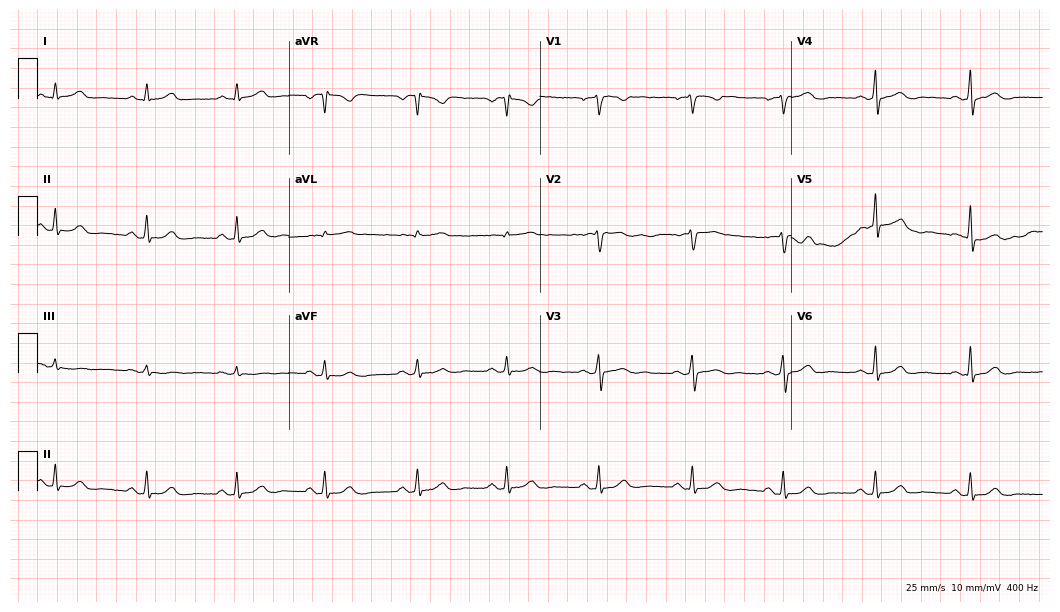
Electrocardiogram (10.2-second recording at 400 Hz), a 45-year-old female patient. Overall reading on record: normal ECG.